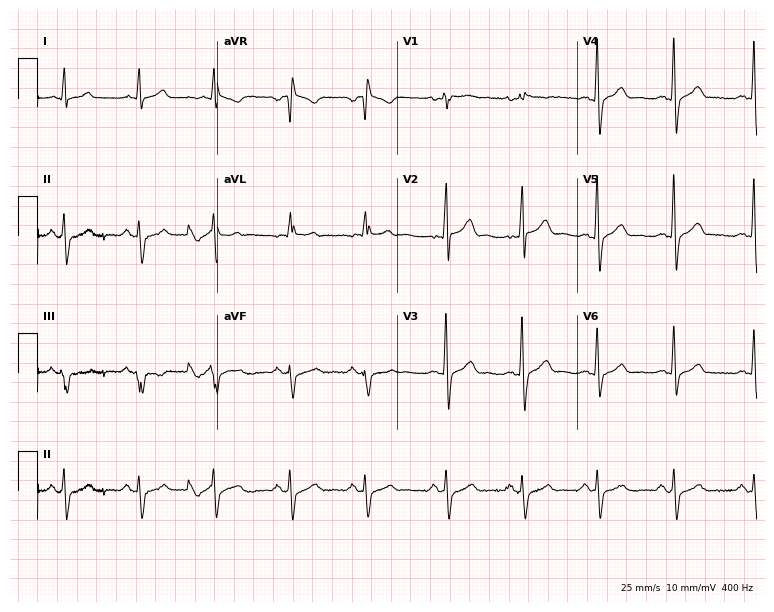
Standard 12-lead ECG recorded from a male patient, 45 years old. None of these six findings is recorded: first-degree AV block, right bundle branch block, left bundle branch block, sinus bradycardia, atrial fibrillation, sinus tachycardia.